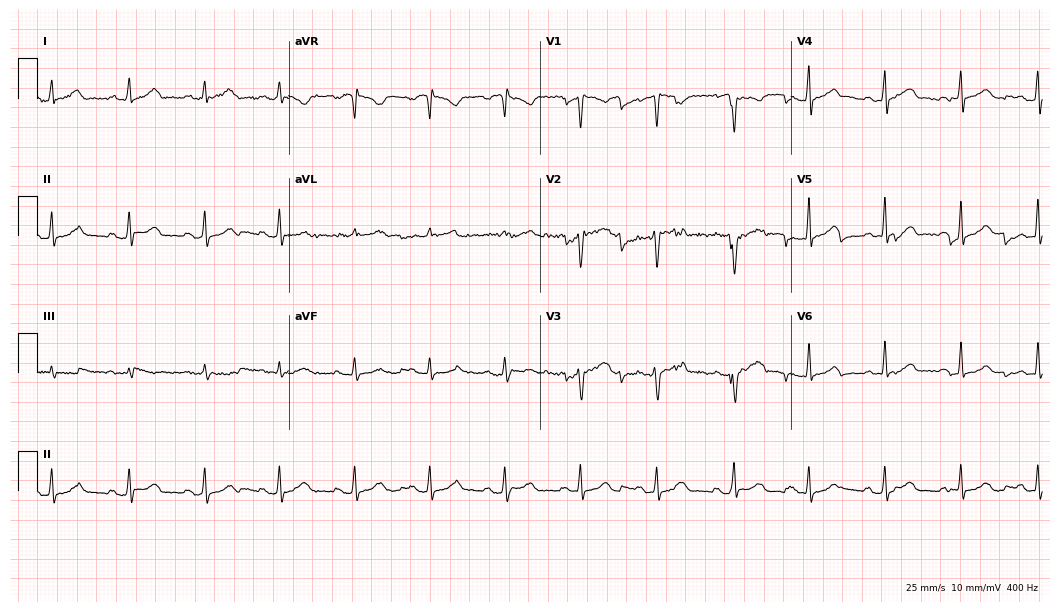
Resting 12-lead electrocardiogram. Patient: a 38-year-old woman. Read as a normal ECG.